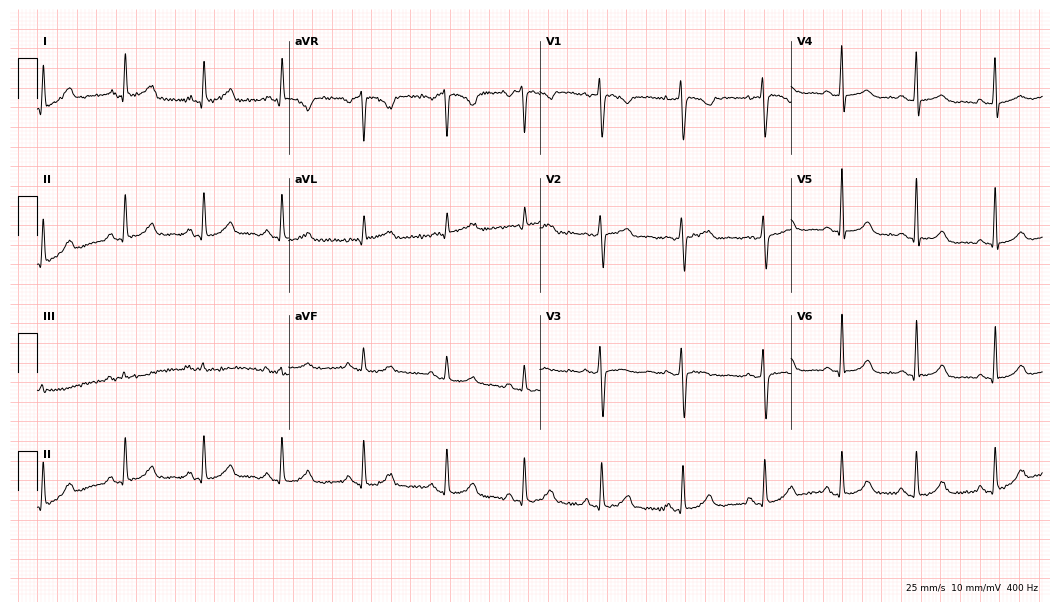
Electrocardiogram, a woman, 42 years old. Overall reading on record: normal ECG.